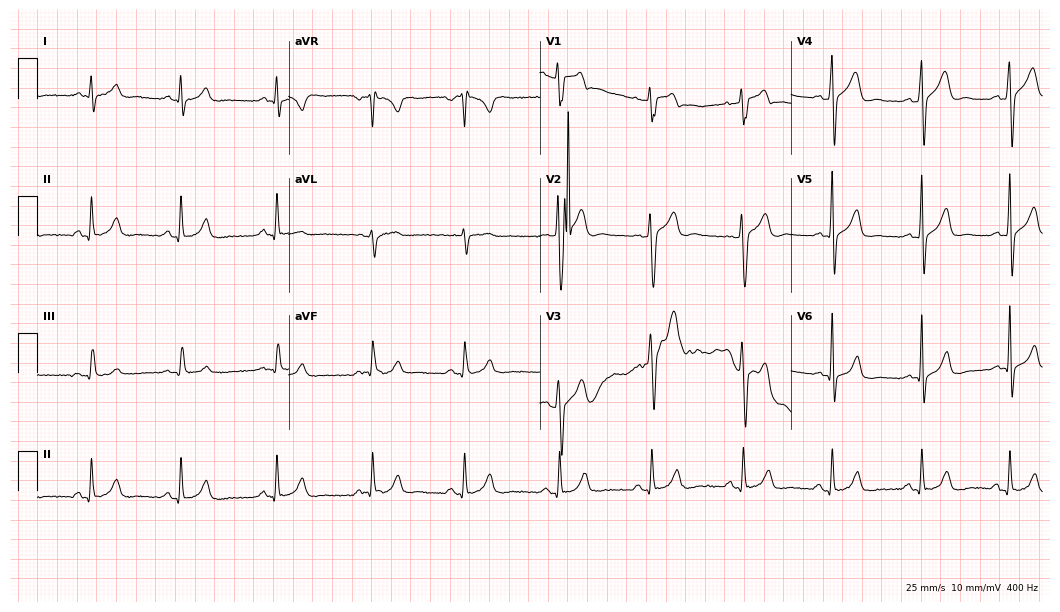
Electrocardiogram, a male, 42 years old. Overall reading on record: normal ECG.